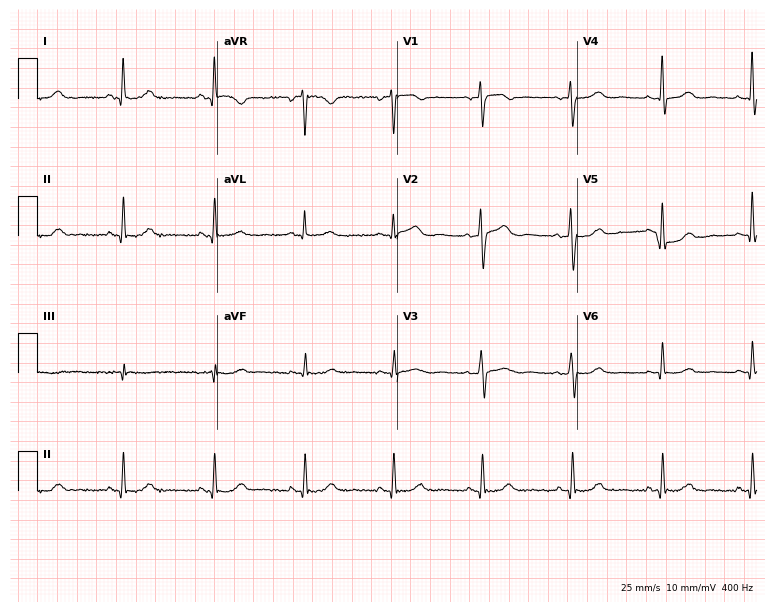
ECG (7.3-second recording at 400 Hz) — a 64-year-old female. Labelled as a normal ECG.